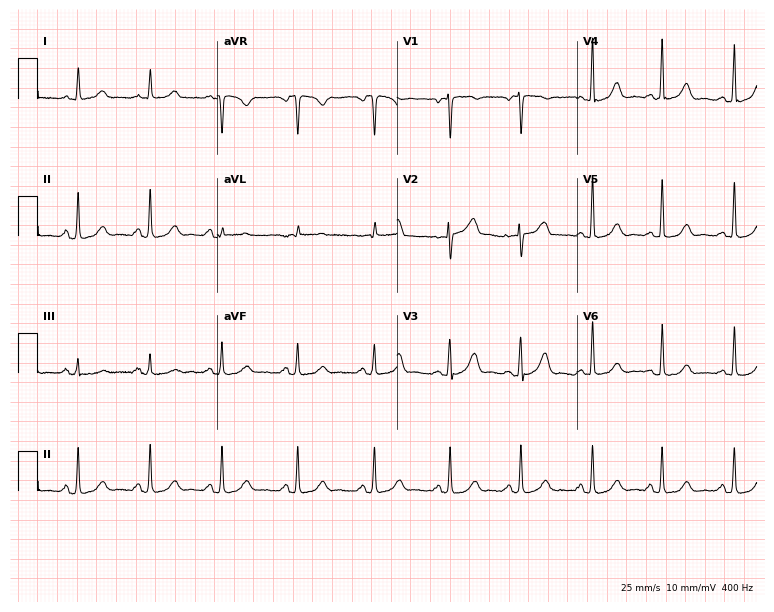
12-lead ECG from a 62-year-old woman. Labelled as a normal ECG.